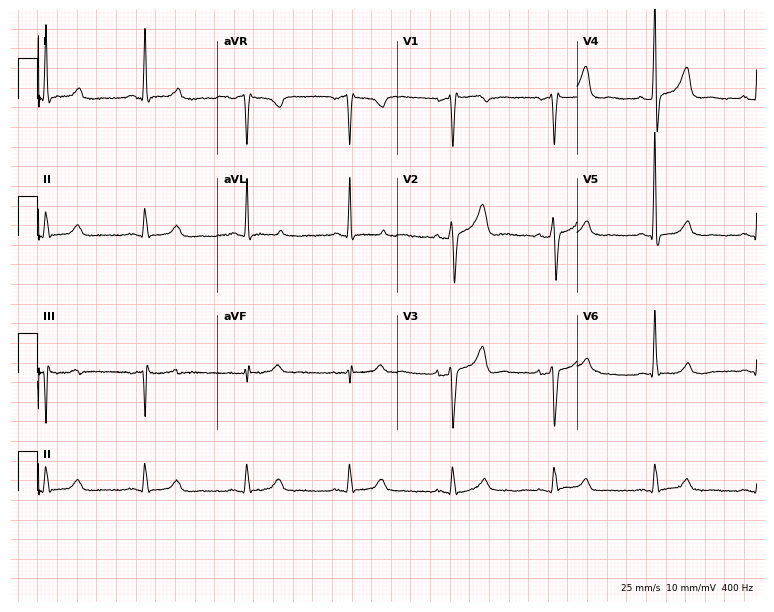
ECG (7.3-second recording at 400 Hz) — a 61-year-old male. Screened for six findings — first-degree AV block, right bundle branch block, left bundle branch block, sinus bradycardia, atrial fibrillation, sinus tachycardia — none is recorded.